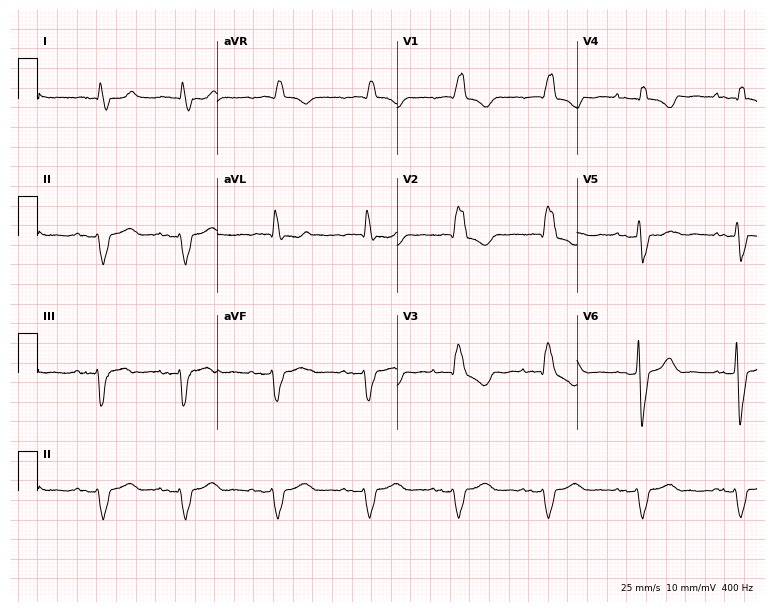
ECG — an 80-year-old male. Findings include right bundle branch block (RBBB).